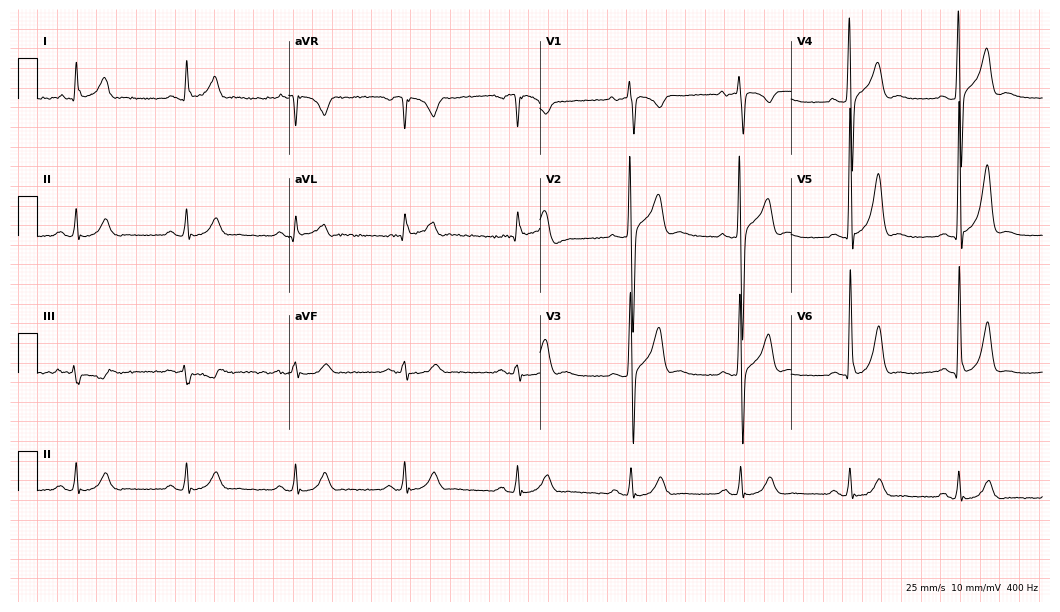
Electrocardiogram, a 70-year-old man. Overall reading on record: normal ECG.